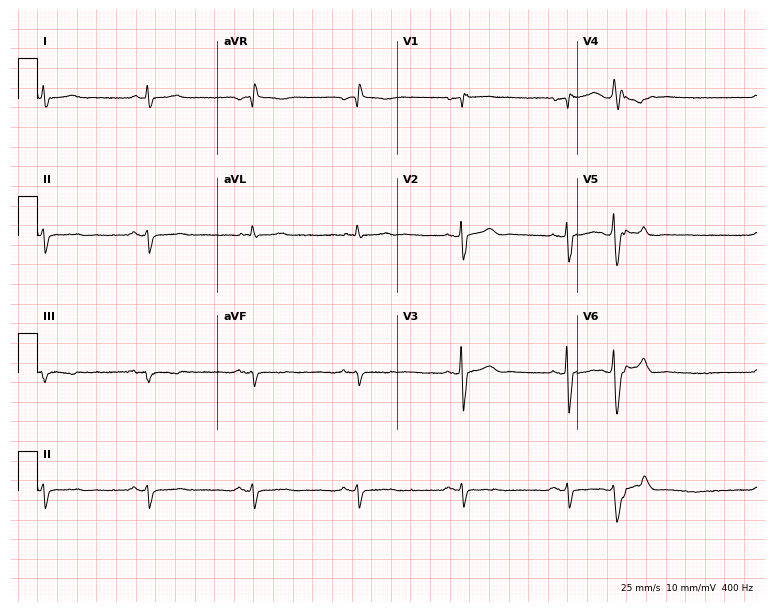
12-lead ECG (7.3-second recording at 400 Hz) from a man, 72 years old. Screened for six findings — first-degree AV block, right bundle branch block, left bundle branch block, sinus bradycardia, atrial fibrillation, sinus tachycardia — none is recorded.